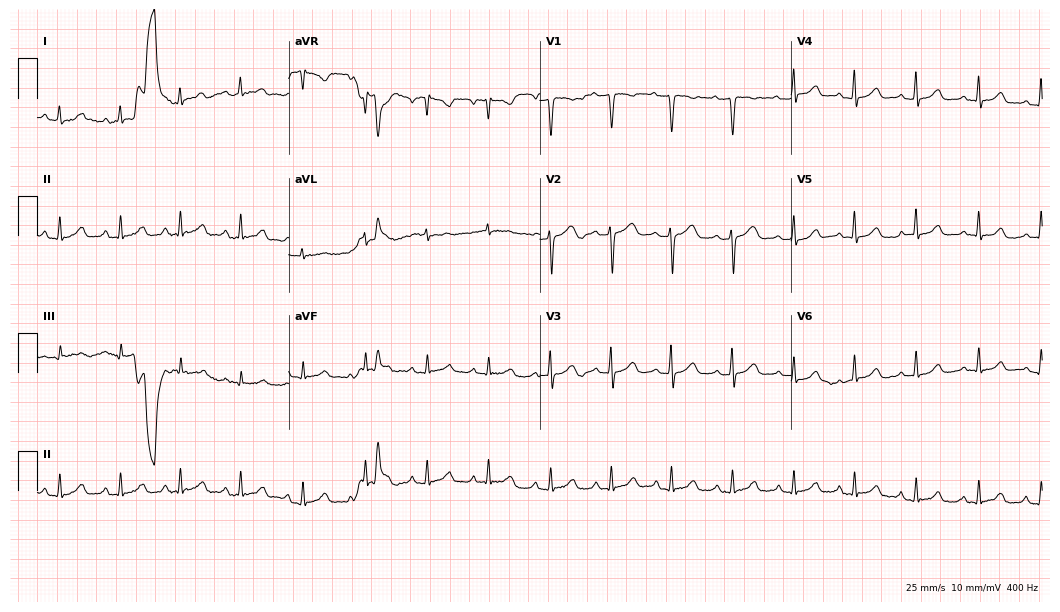
Resting 12-lead electrocardiogram (10.2-second recording at 400 Hz). Patient: a 45-year-old woman. Read as a normal ECG.